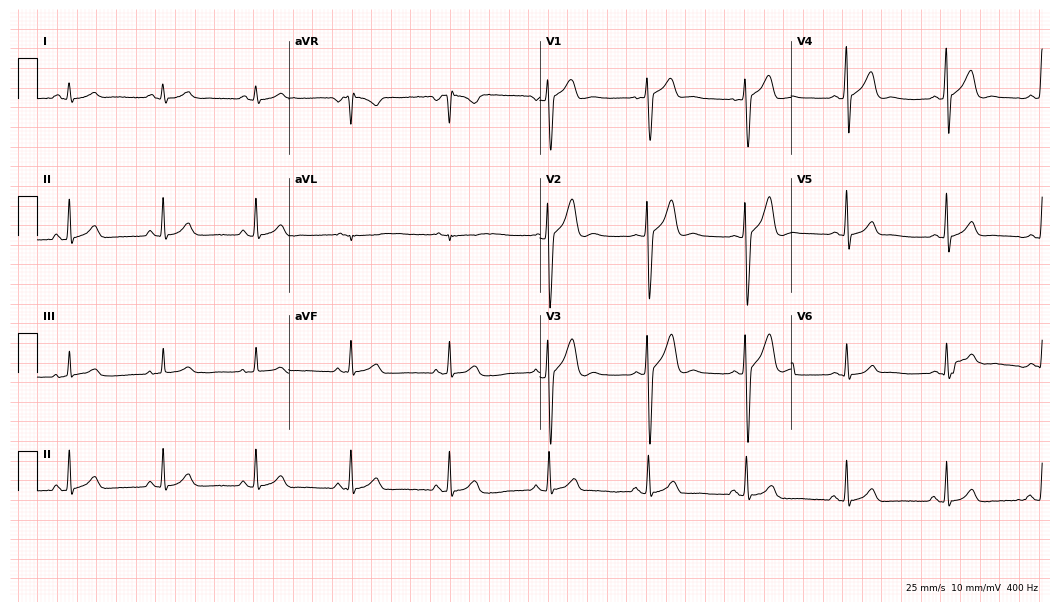
Electrocardiogram (10.2-second recording at 400 Hz), an 18-year-old male patient. Of the six screened findings (first-degree AV block, right bundle branch block, left bundle branch block, sinus bradycardia, atrial fibrillation, sinus tachycardia), none is recorded.